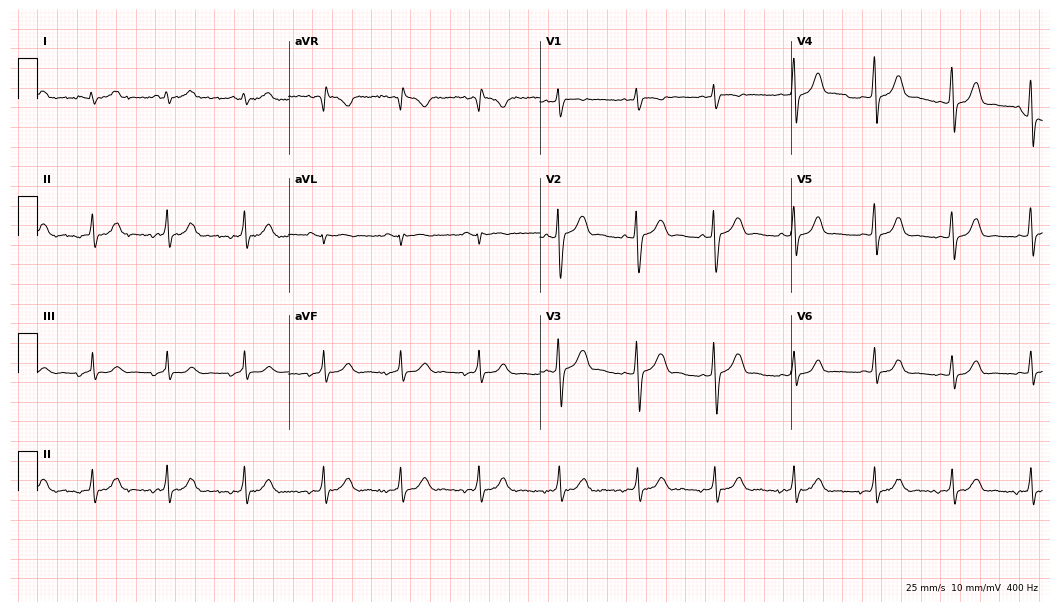
12-lead ECG (10.2-second recording at 400 Hz) from a woman, 25 years old. Labelled as a normal ECG.